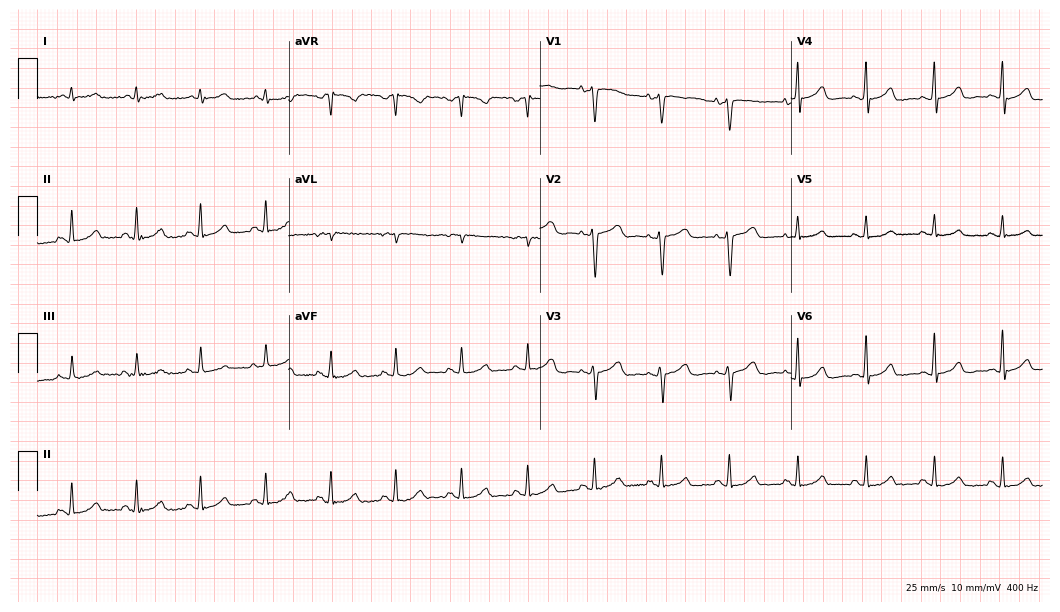
Electrocardiogram (10.2-second recording at 400 Hz), a 57-year-old woman. Overall reading on record: normal ECG.